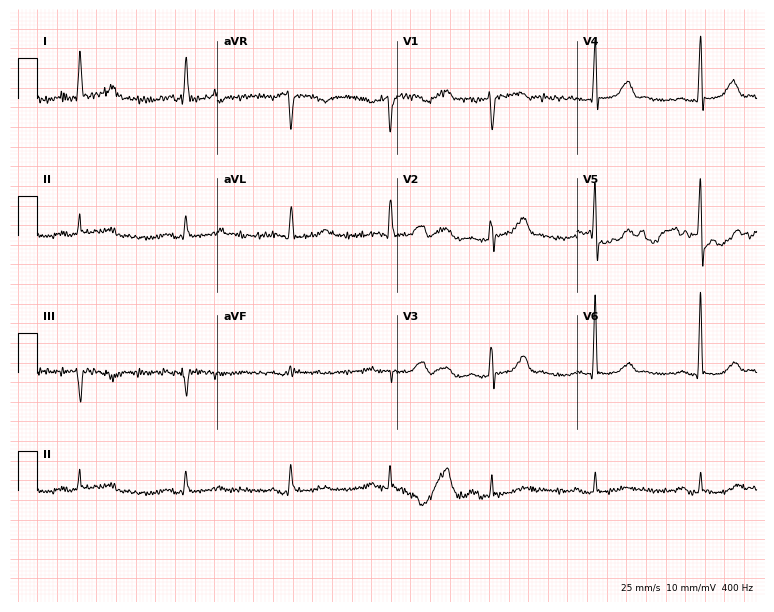
ECG (7.3-second recording at 400 Hz) — a male, 88 years old. Labelled as a normal ECG.